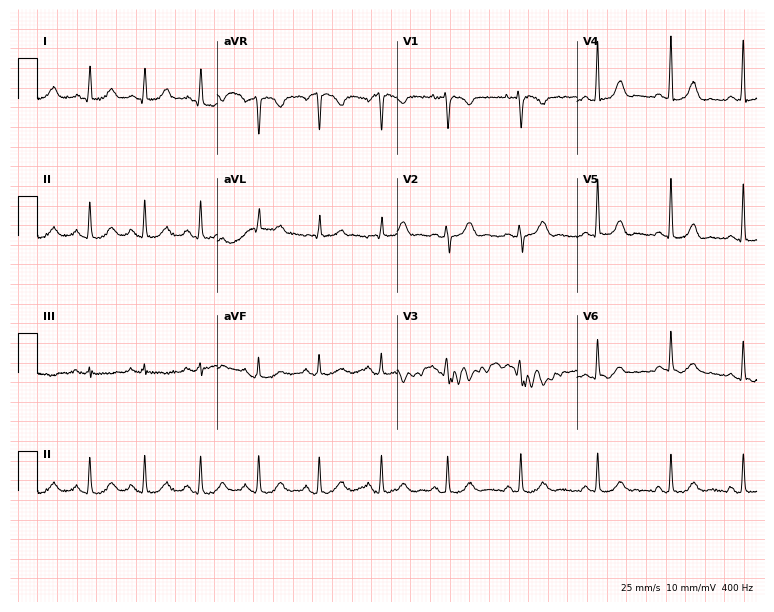
ECG — a 38-year-old female. Screened for six findings — first-degree AV block, right bundle branch block, left bundle branch block, sinus bradycardia, atrial fibrillation, sinus tachycardia — none is recorded.